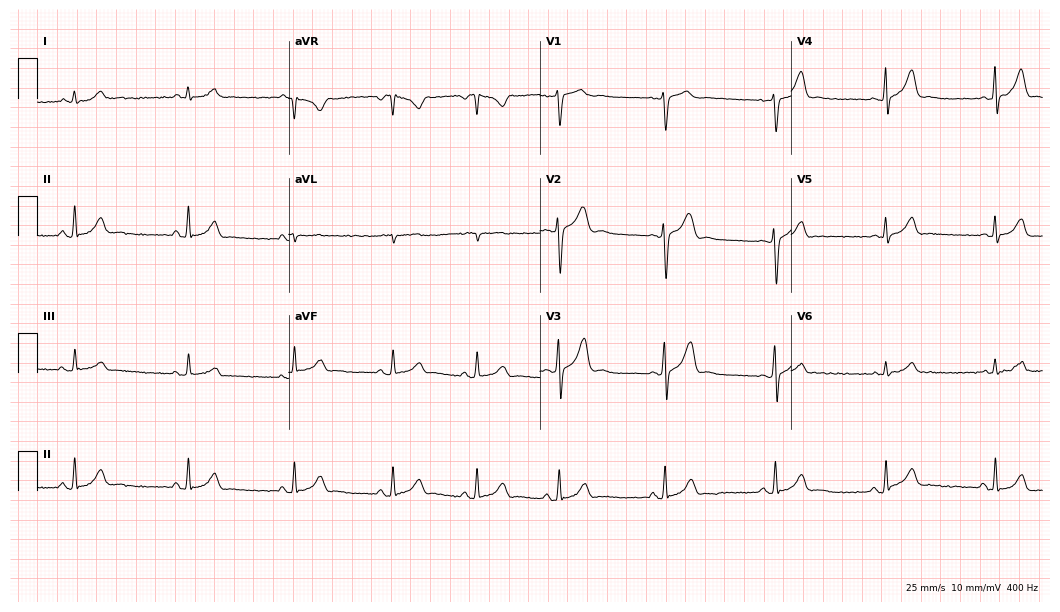
Standard 12-lead ECG recorded from a female, 34 years old (10.2-second recording at 400 Hz). Read as a normal ECG.